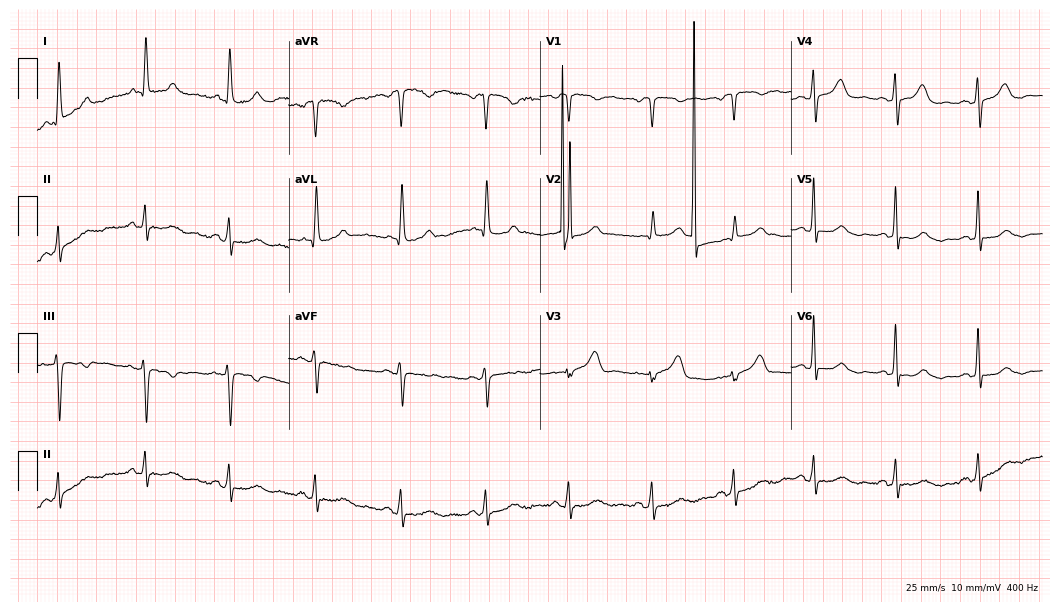
Electrocardiogram, a female patient, 73 years old. Overall reading on record: normal ECG.